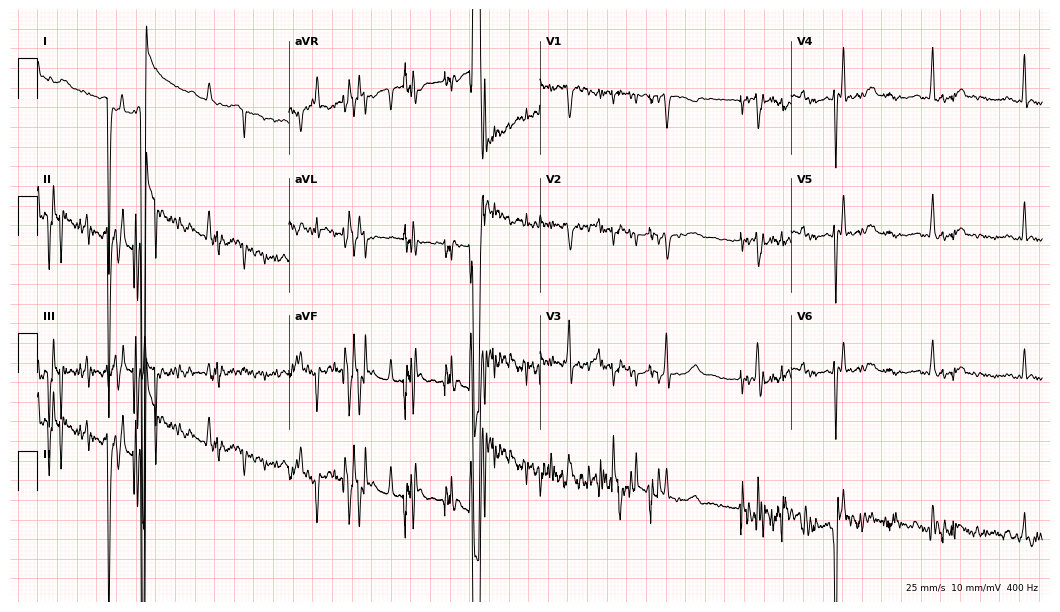
Electrocardiogram, a 31-year-old female. Of the six screened findings (first-degree AV block, right bundle branch block (RBBB), left bundle branch block (LBBB), sinus bradycardia, atrial fibrillation (AF), sinus tachycardia), none is recorded.